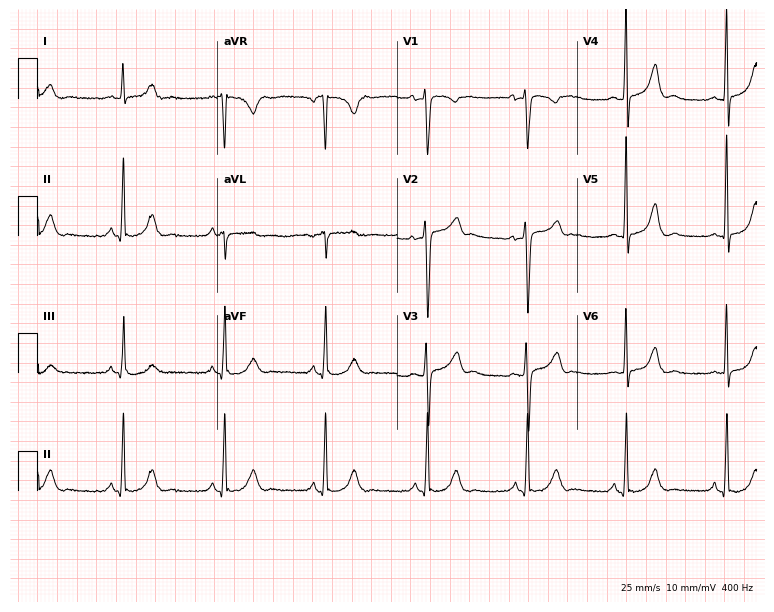
Resting 12-lead electrocardiogram. Patient: a man, 66 years old. None of these six findings is recorded: first-degree AV block, right bundle branch block, left bundle branch block, sinus bradycardia, atrial fibrillation, sinus tachycardia. Findings outside these six are not listed.